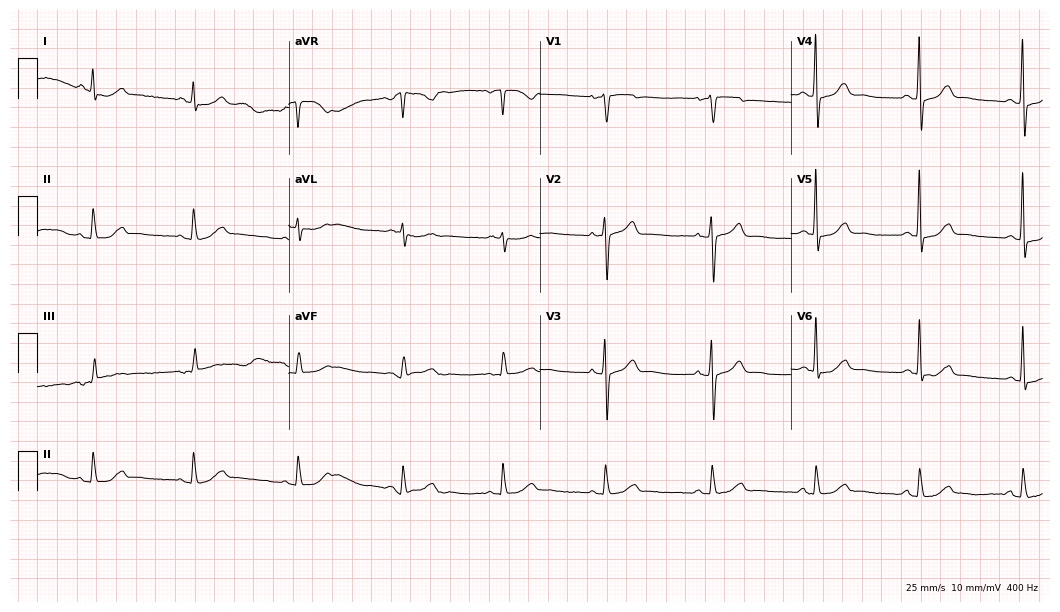
12-lead ECG from a 78-year-old male. Labelled as a normal ECG.